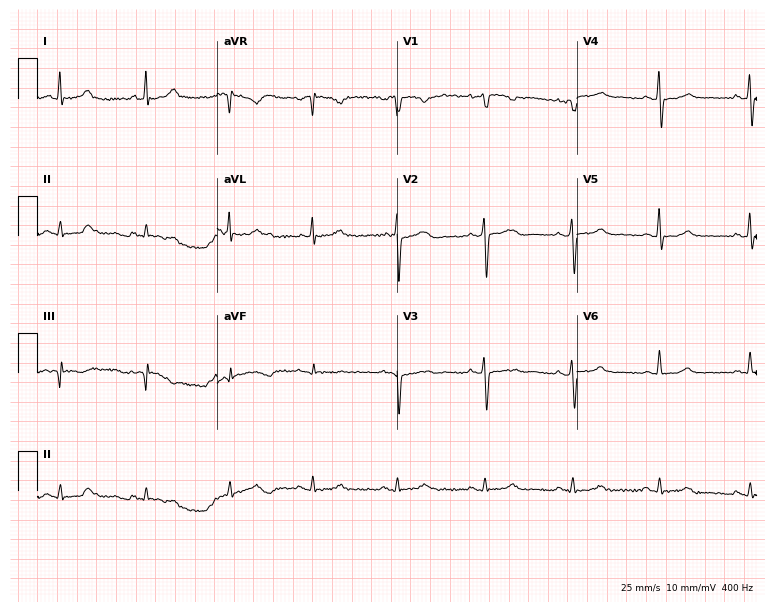
12-lead ECG (7.3-second recording at 400 Hz) from a female, 51 years old. Screened for six findings — first-degree AV block, right bundle branch block, left bundle branch block, sinus bradycardia, atrial fibrillation, sinus tachycardia — none is recorded. Only these six findings were labelled.